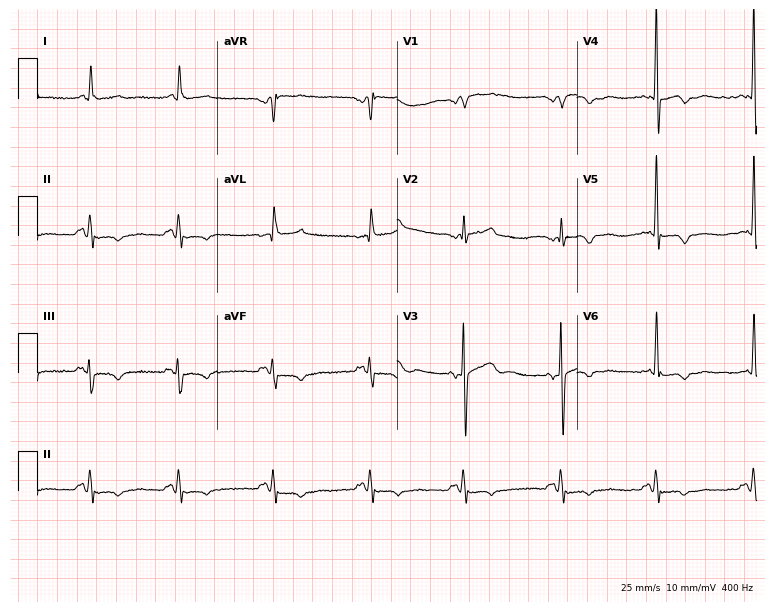
Resting 12-lead electrocardiogram (7.3-second recording at 400 Hz). Patient: a male, 71 years old. None of these six findings is recorded: first-degree AV block, right bundle branch block, left bundle branch block, sinus bradycardia, atrial fibrillation, sinus tachycardia. Only these six findings were labelled.